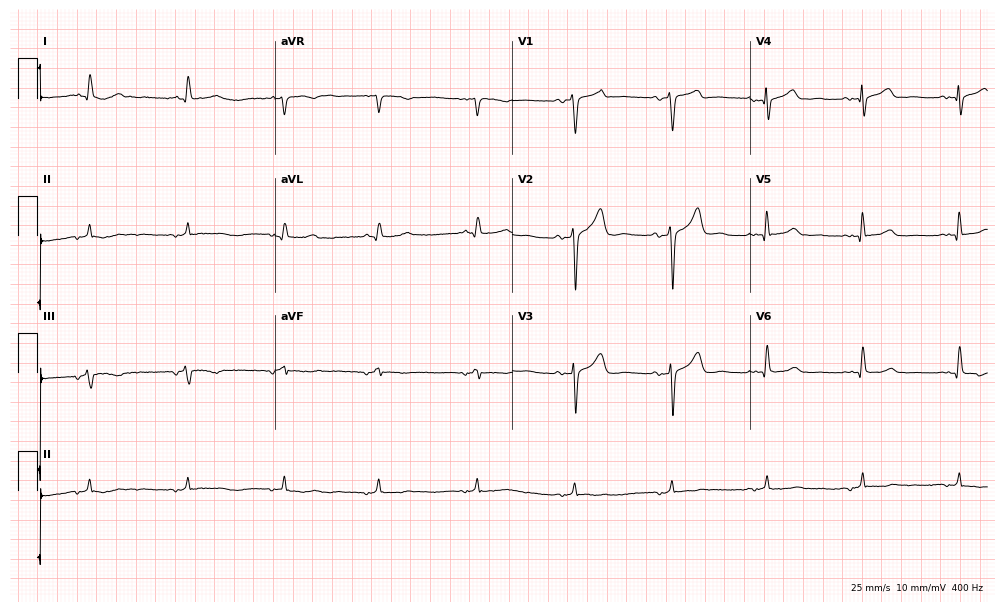
Electrocardiogram, a 79-year-old man. Of the six screened findings (first-degree AV block, right bundle branch block, left bundle branch block, sinus bradycardia, atrial fibrillation, sinus tachycardia), none is recorded.